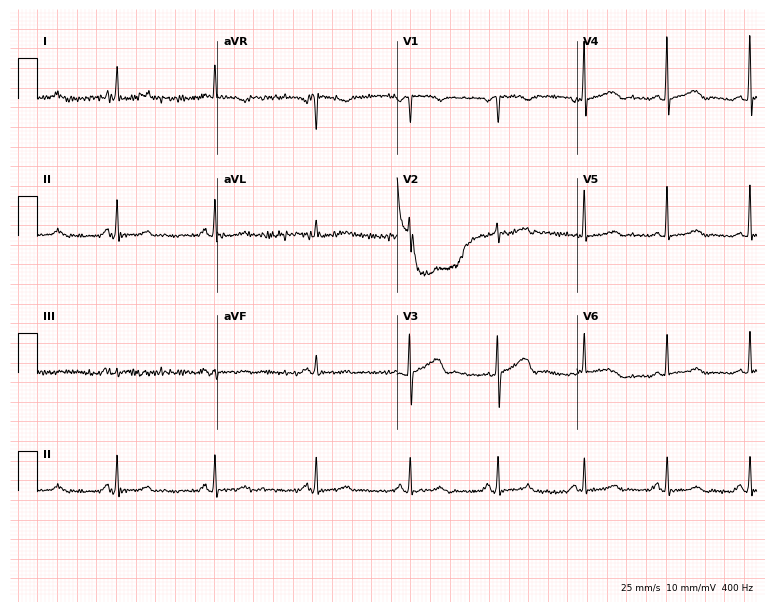
ECG (7.3-second recording at 400 Hz) — a woman, 57 years old. Screened for six findings — first-degree AV block, right bundle branch block (RBBB), left bundle branch block (LBBB), sinus bradycardia, atrial fibrillation (AF), sinus tachycardia — none is recorded.